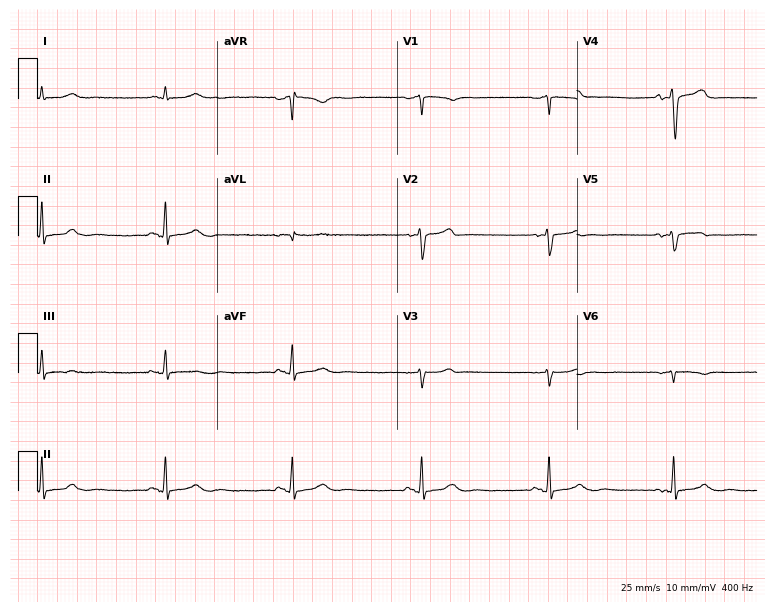
12-lead ECG (7.3-second recording at 400 Hz) from a man, 67 years old. Screened for six findings — first-degree AV block, right bundle branch block, left bundle branch block, sinus bradycardia, atrial fibrillation, sinus tachycardia — none is recorded.